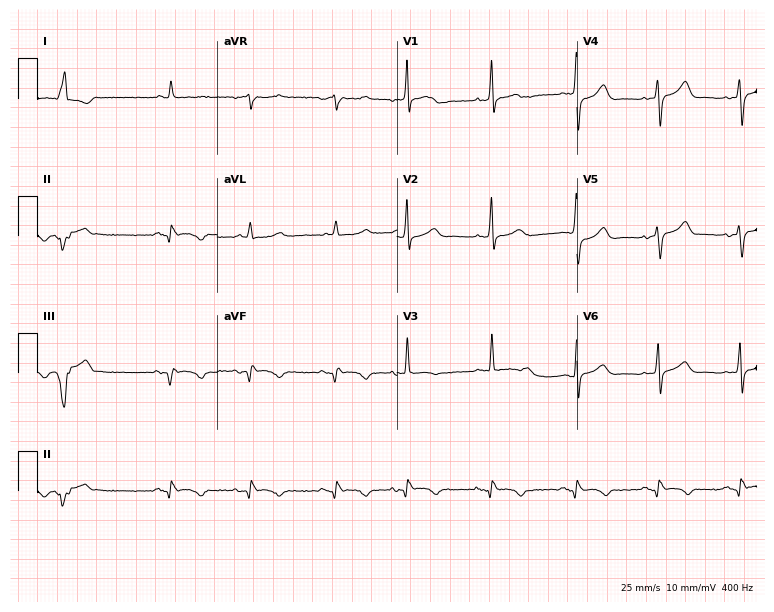
12-lead ECG (7.3-second recording at 400 Hz) from a male, 85 years old. Screened for six findings — first-degree AV block, right bundle branch block, left bundle branch block, sinus bradycardia, atrial fibrillation, sinus tachycardia — none is recorded. Other findings, if any, are not listed.